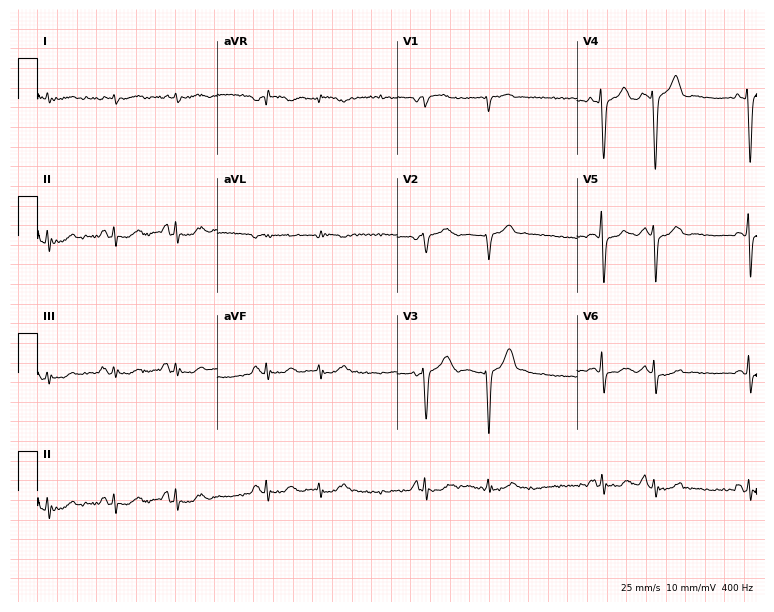
Resting 12-lead electrocardiogram (7.3-second recording at 400 Hz). Patient: a woman, 85 years old. None of these six findings is recorded: first-degree AV block, right bundle branch block (RBBB), left bundle branch block (LBBB), sinus bradycardia, atrial fibrillation (AF), sinus tachycardia.